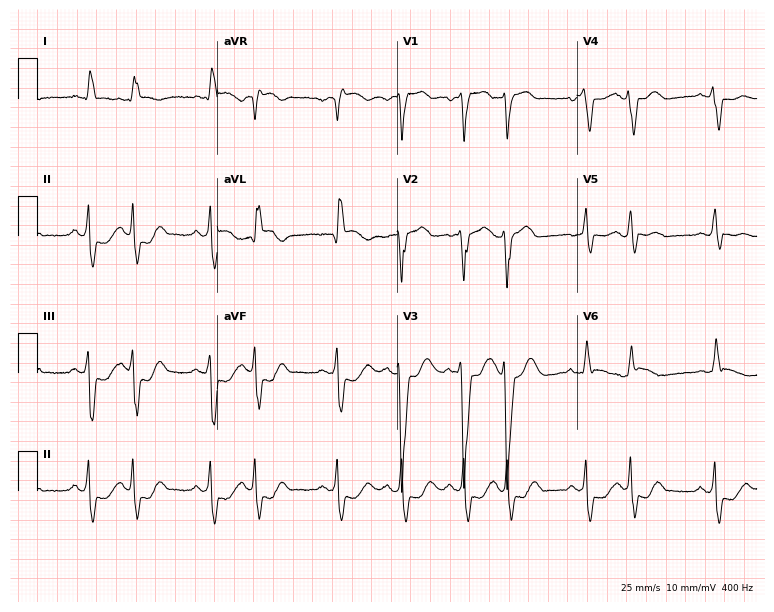
Resting 12-lead electrocardiogram. Patient: a woman, 82 years old. None of these six findings is recorded: first-degree AV block, right bundle branch block (RBBB), left bundle branch block (LBBB), sinus bradycardia, atrial fibrillation (AF), sinus tachycardia. Other findings, if any, are not listed.